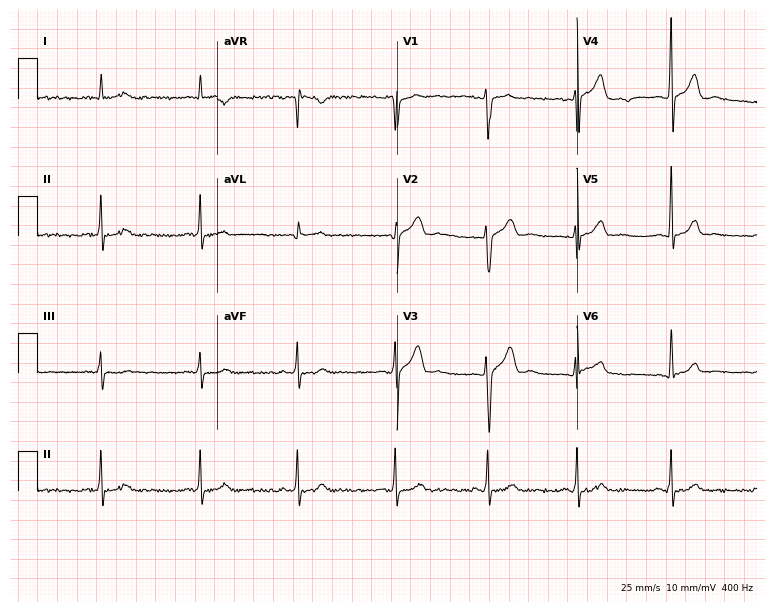
Resting 12-lead electrocardiogram (7.3-second recording at 400 Hz). Patient: a 27-year-old man. Read as a normal ECG.